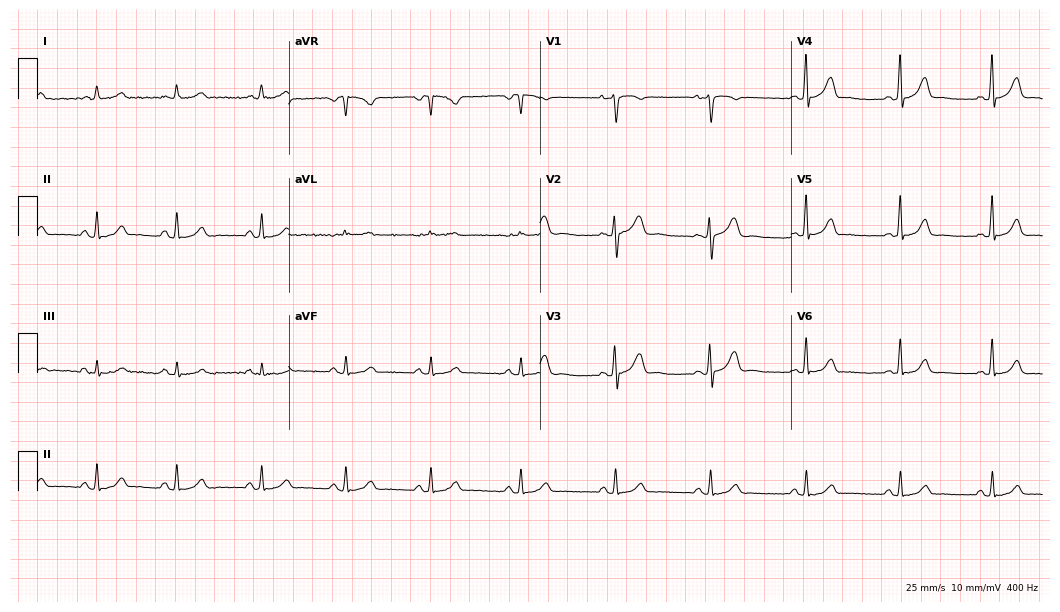
Electrocardiogram, a female patient, 42 years old. Overall reading on record: normal ECG.